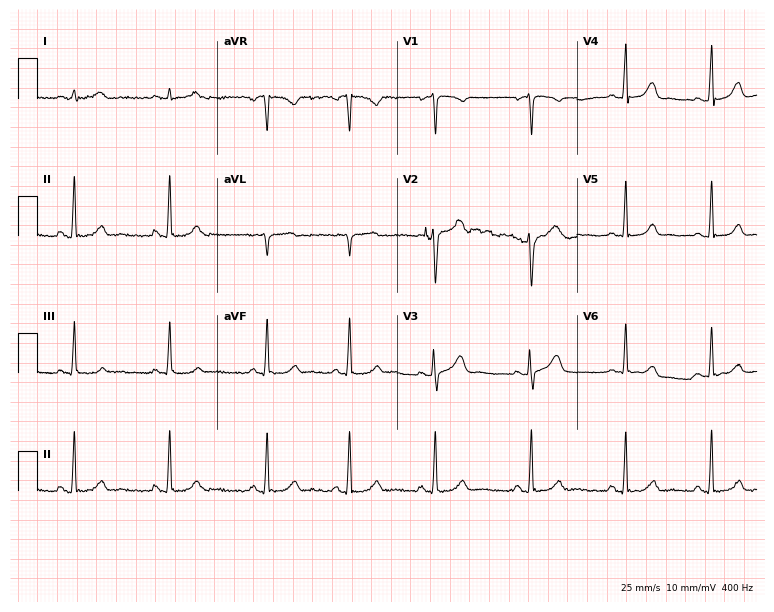
Standard 12-lead ECG recorded from a female patient, 24 years old. Read as a normal ECG.